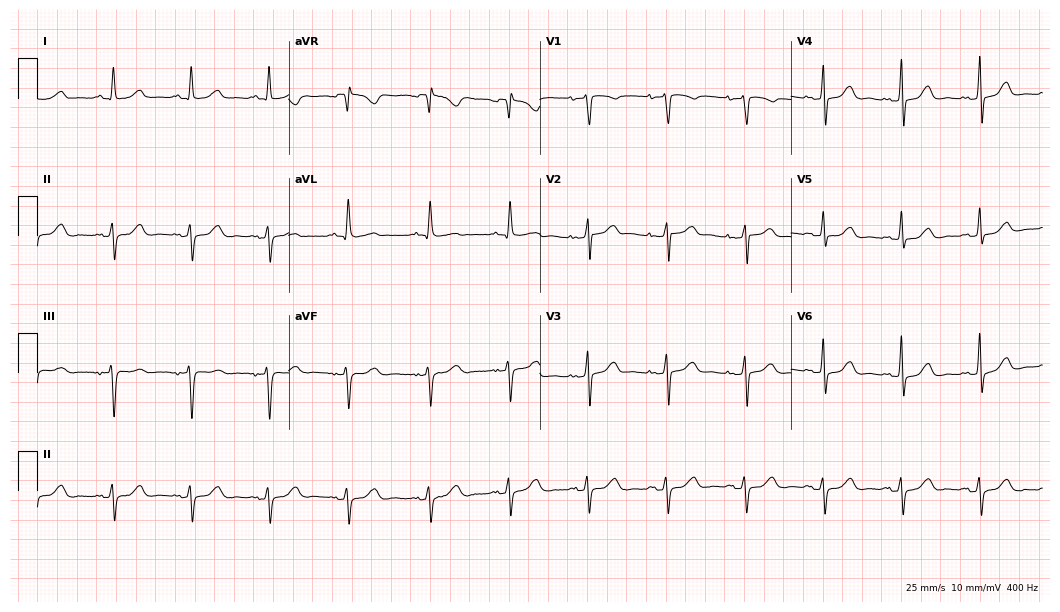
Standard 12-lead ECG recorded from an 84-year-old woman (10.2-second recording at 400 Hz). None of these six findings is recorded: first-degree AV block, right bundle branch block (RBBB), left bundle branch block (LBBB), sinus bradycardia, atrial fibrillation (AF), sinus tachycardia.